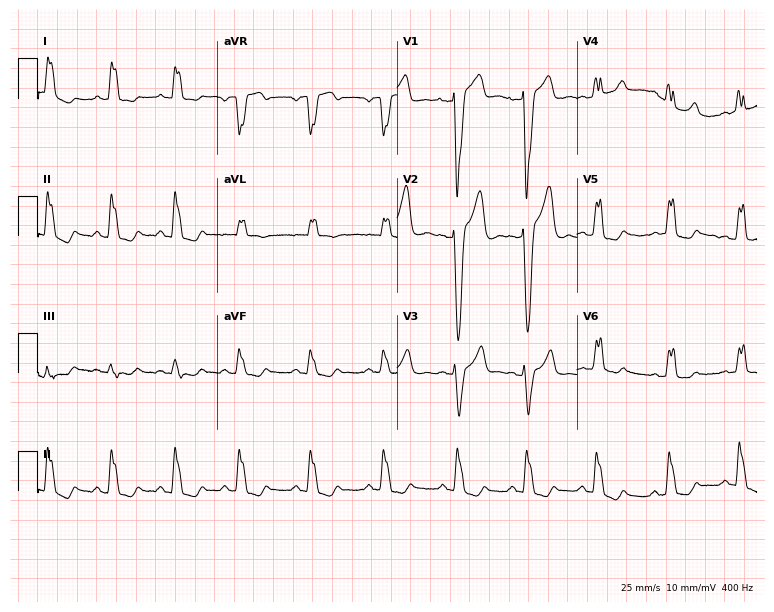
12-lead ECG from a female patient, 29 years old. Findings include left bundle branch block.